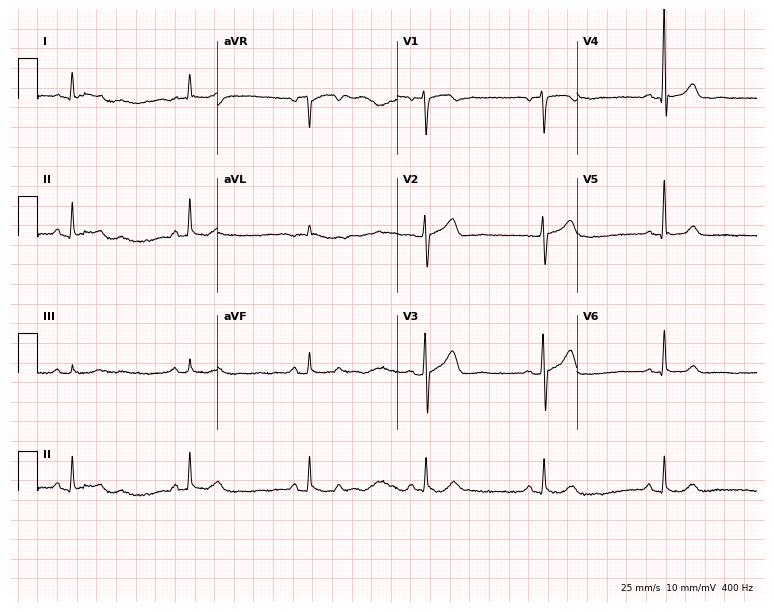
12-lead ECG (7.3-second recording at 400 Hz) from a 72-year-old male patient. Findings include sinus bradycardia (a sinus rate of 50 beats per minute or less).